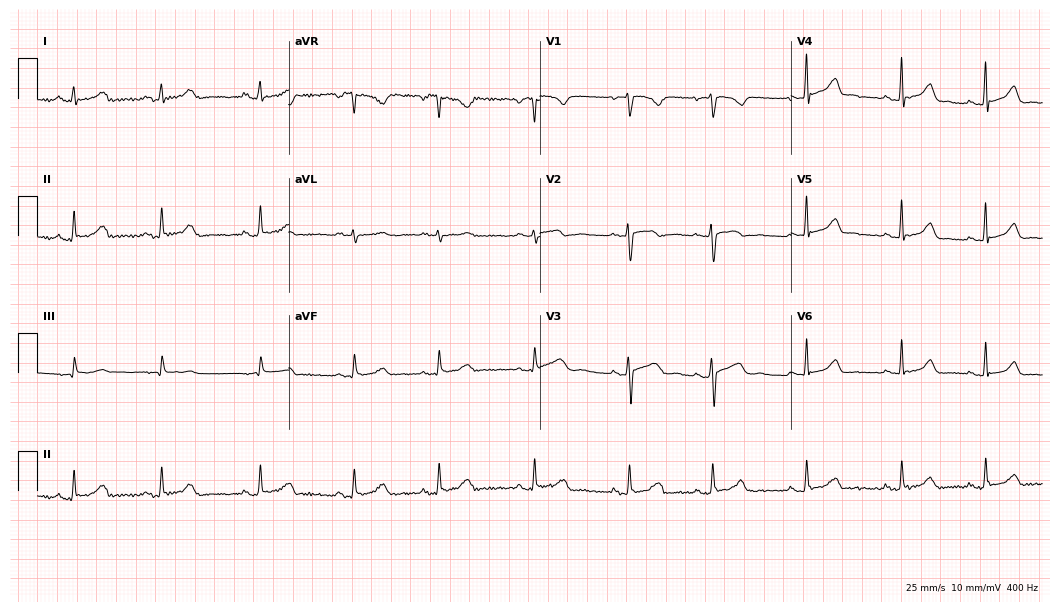
Standard 12-lead ECG recorded from a female, 18 years old (10.2-second recording at 400 Hz). None of these six findings is recorded: first-degree AV block, right bundle branch block, left bundle branch block, sinus bradycardia, atrial fibrillation, sinus tachycardia. Only these six findings were labelled.